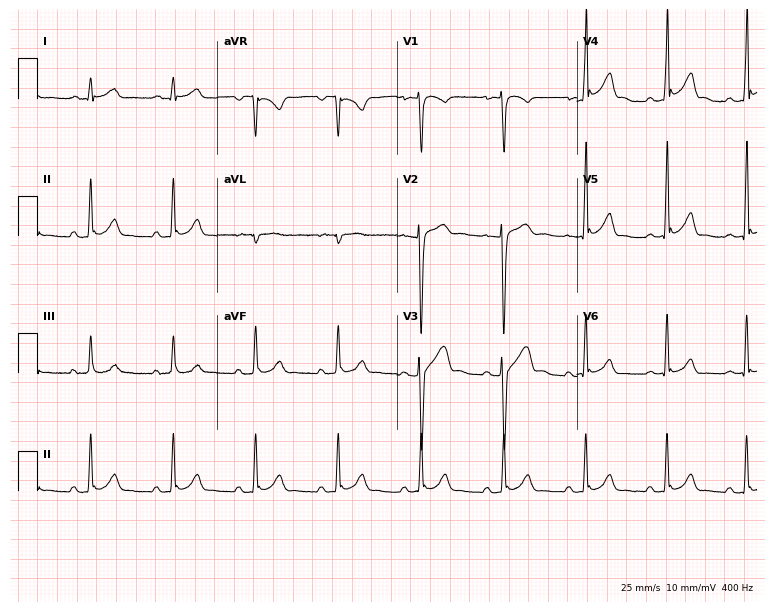
Electrocardiogram (7.3-second recording at 400 Hz), a man, 25 years old. Of the six screened findings (first-degree AV block, right bundle branch block (RBBB), left bundle branch block (LBBB), sinus bradycardia, atrial fibrillation (AF), sinus tachycardia), none is recorded. Only these six findings were labelled.